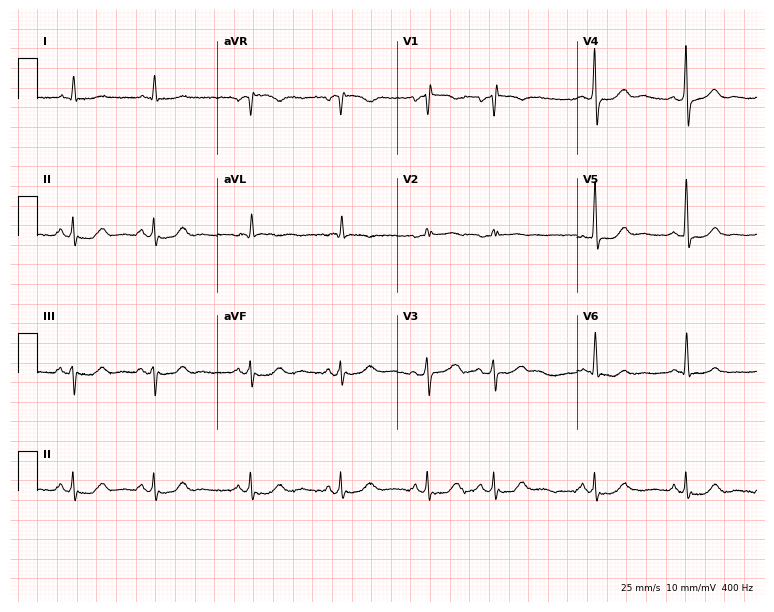
ECG (7.3-second recording at 400 Hz) — an 84-year-old male patient. Screened for six findings — first-degree AV block, right bundle branch block, left bundle branch block, sinus bradycardia, atrial fibrillation, sinus tachycardia — none is recorded.